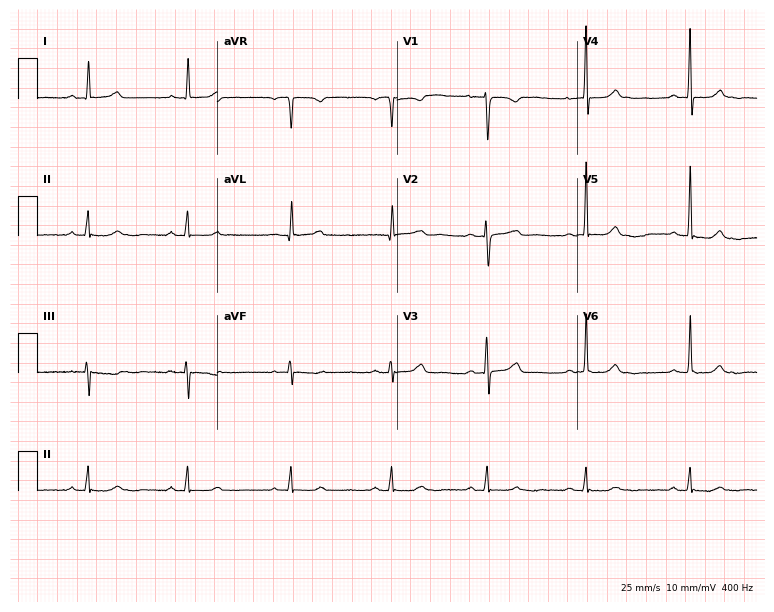
12-lead ECG (7.3-second recording at 400 Hz) from a female, 55 years old. Screened for six findings — first-degree AV block, right bundle branch block (RBBB), left bundle branch block (LBBB), sinus bradycardia, atrial fibrillation (AF), sinus tachycardia — none is recorded. Findings outside these six are not listed.